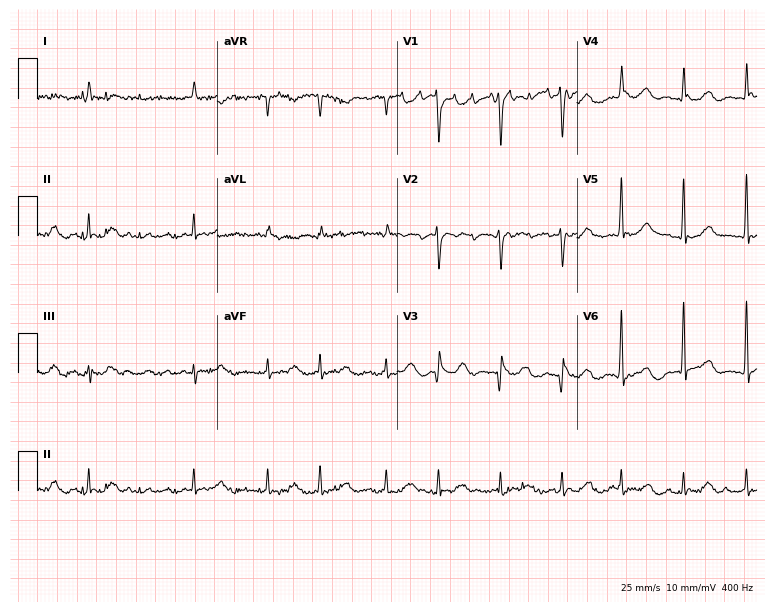
12-lead ECG from a male, 74 years old (7.3-second recording at 400 Hz). Shows atrial fibrillation.